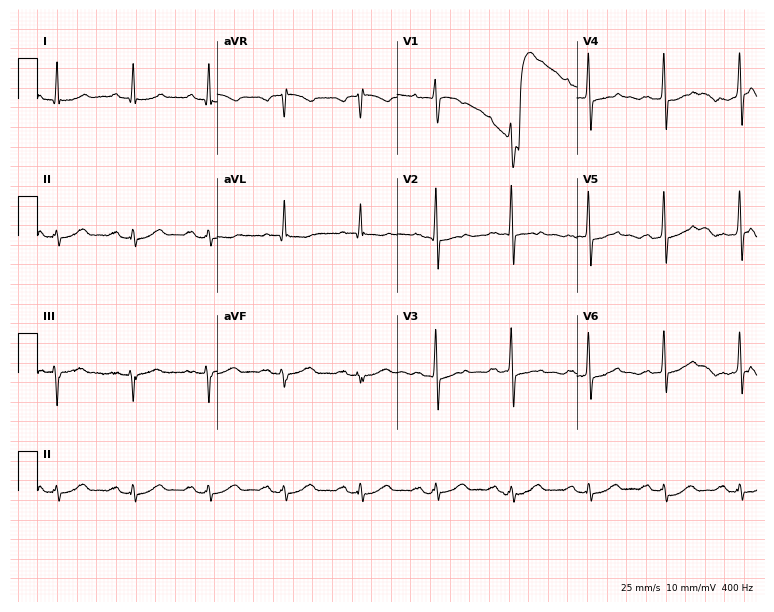
12-lead ECG from a 74-year-old man. Screened for six findings — first-degree AV block, right bundle branch block, left bundle branch block, sinus bradycardia, atrial fibrillation, sinus tachycardia — none is recorded. Other findings, if any, are not listed.